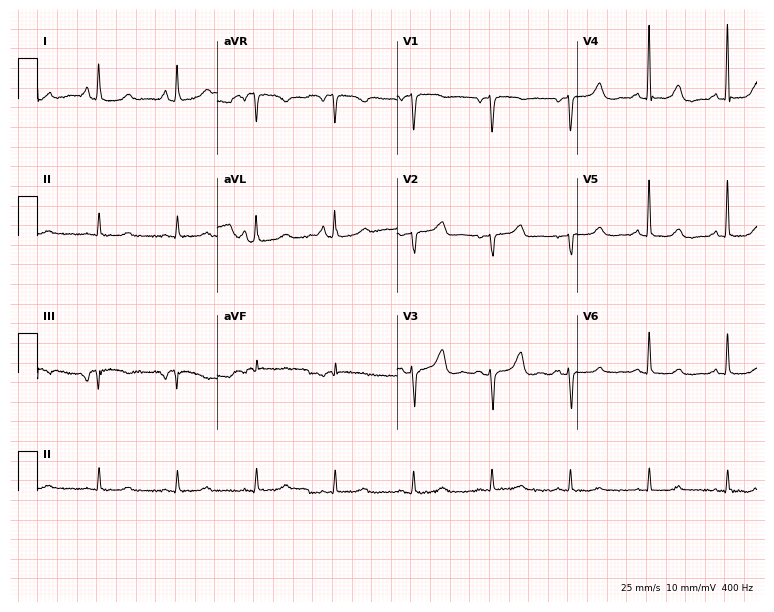
Resting 12-lead electrocardiogram. Patient: a female, 80 years old. None of these six findings is recorded: first-degree AV block, right bundle branch block, left bundle branch block, sinus bradycardia, atrial fibrillation, sinus tachycardia.